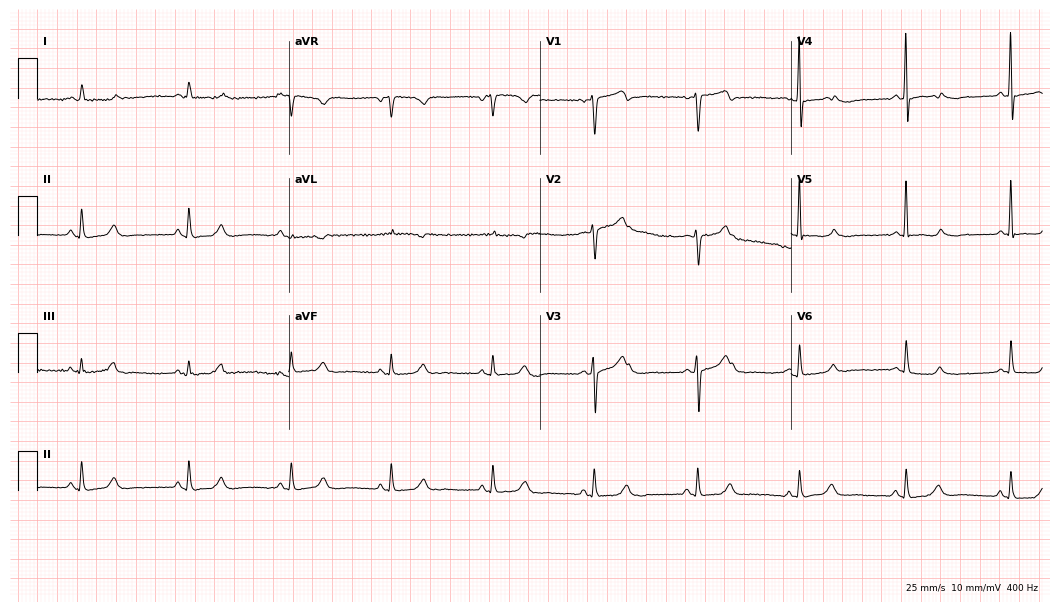
12-lead ECG from a female patient, 54 years old (10.2-second recording at 400 Hz). Recorded interpretation: within normal limits.